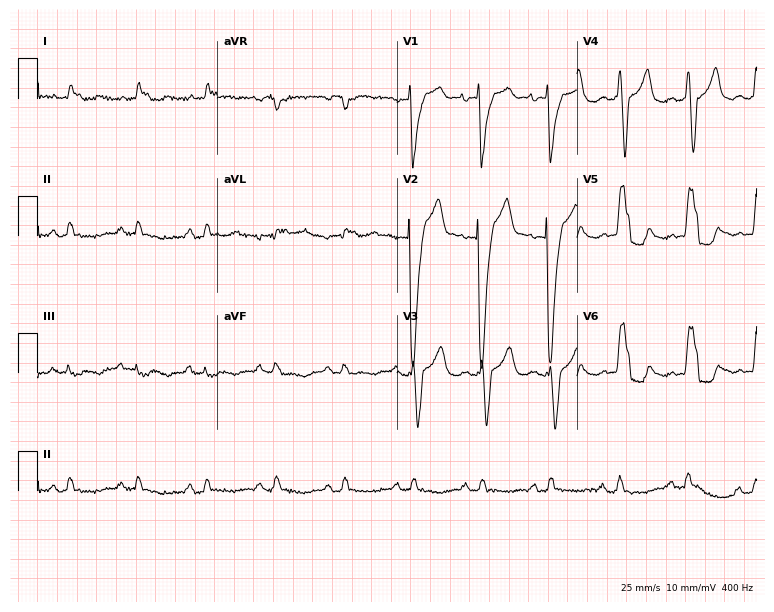
Resting 12-lead electrocardiogram. Patient: a woman, 79 years old. The tracing shows left bundle branch block.